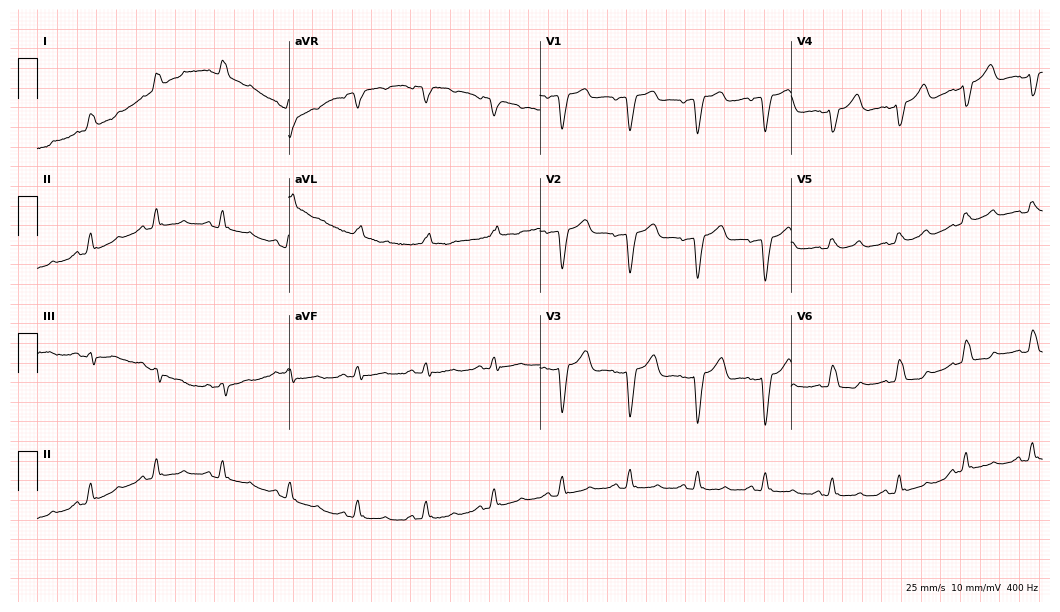
Standard 12-lead ECG recorded from a woman, 80 years old. The tracing shows left bundle branch block.